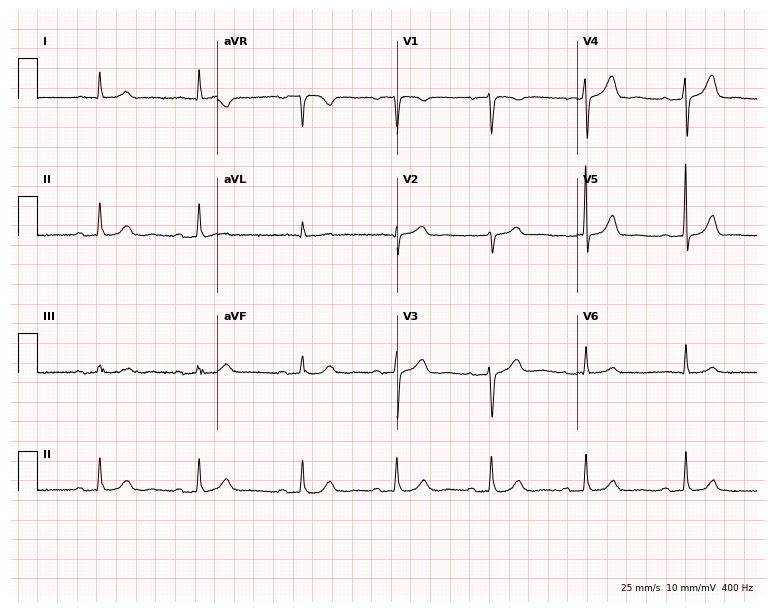
Electrocardiogram (7.3-second recording at 400 Hz), a 74-year-old woman. Interpretation includes first-degree AV block.